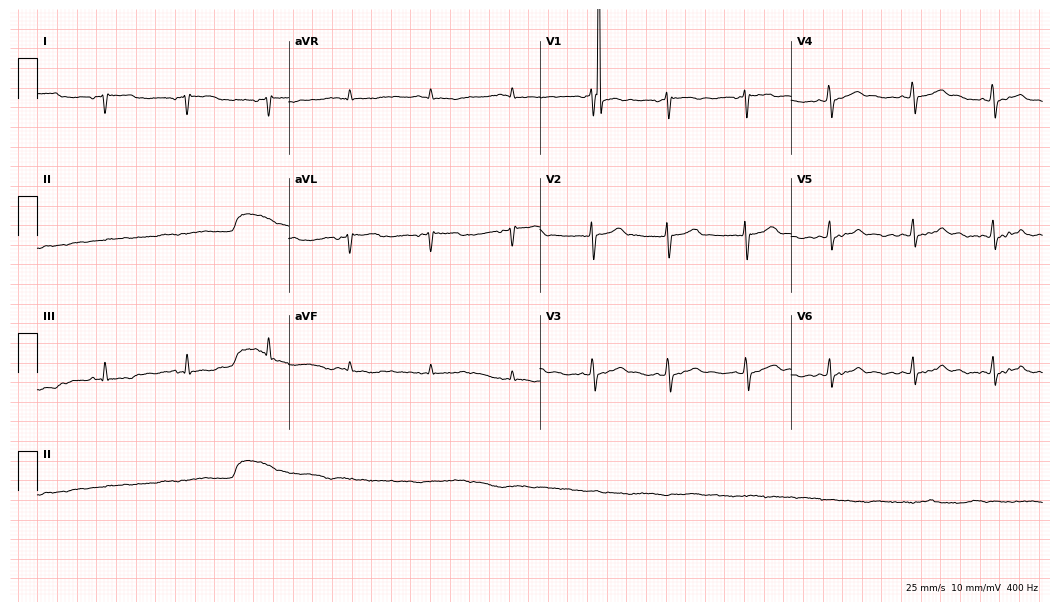
12-lead ECG (10.2-second recording at 400 Hz) from a 28-year-old female patient. Screened for six findings — first-degree AV block, right bundle branch block, left bundle branch block, sinus bradycardia, atrial fibrillation, sinus tachycardia — none is recorded. Findings outside these six are not listed.